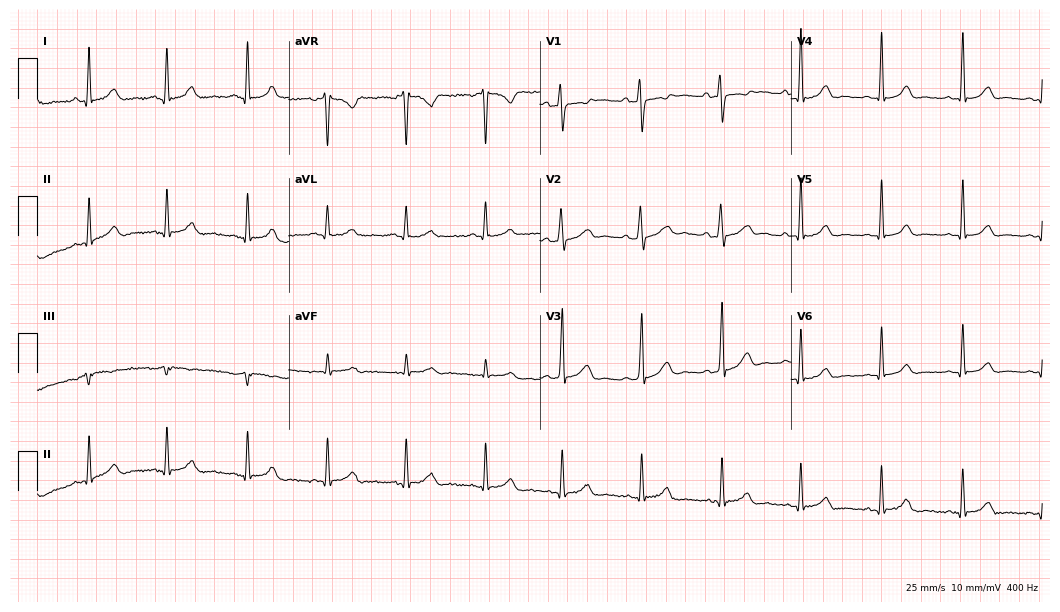
Standard 12-lead ECG recorded from a 32-year-old female (10.2-second recording at 400 Hz). None of these six findings is recorded: first-degree AV block, right bundle branch block (RBBB), left bundle branch block (LBBB), sinus bradycardia, atrial fibrillation (AF), sinus tachycardia. Findings outside these six are not listed.